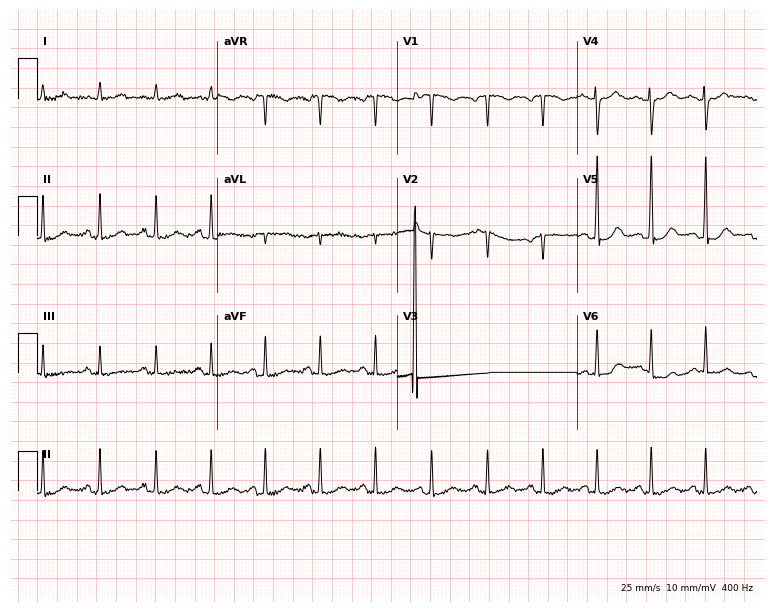
ECG — a female, 38 years old. Findings include sinus tachycardia (a sinus rate of 100 beats per minute or more).